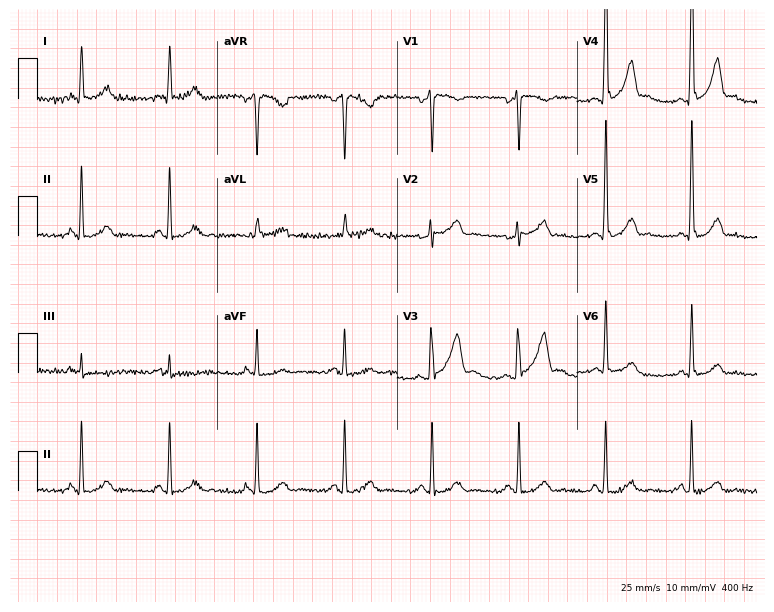
ECG — a male patient, 42 years old. Screened for six findings — first-degree AV block, right bundle branch block (RBBB), left bundle branch block (LBBB), sinus bradycardia, atrial fibrillation (AF), sinus tachycardia — none is recorded. Findings outside these six are not listed.